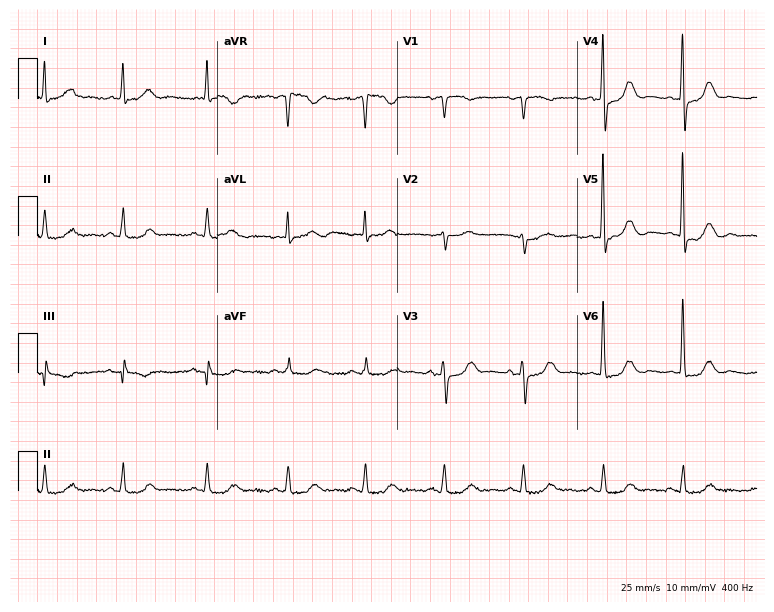
Standard 12-lead ECG recorded from a female, 78 years old (7.3-second recording at 400 Hz). None of these six findings is recorded: first-degree AV block, right bundle branch block, left bundle branch block, sinus bradycardia, atrial fibrillation, sinus tachycardia.